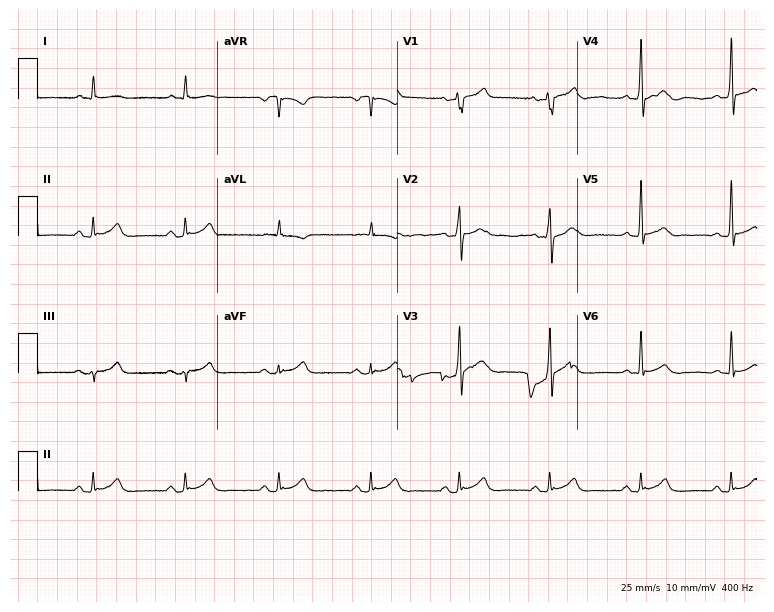
12-lead ECG from a male, 42 years old. Screened for six findings — first-degree AV block, right bundle branch block, left bundle branch block, sinus bradycardia, atrial fibrillation, sinus tachycardia — none is recorded.